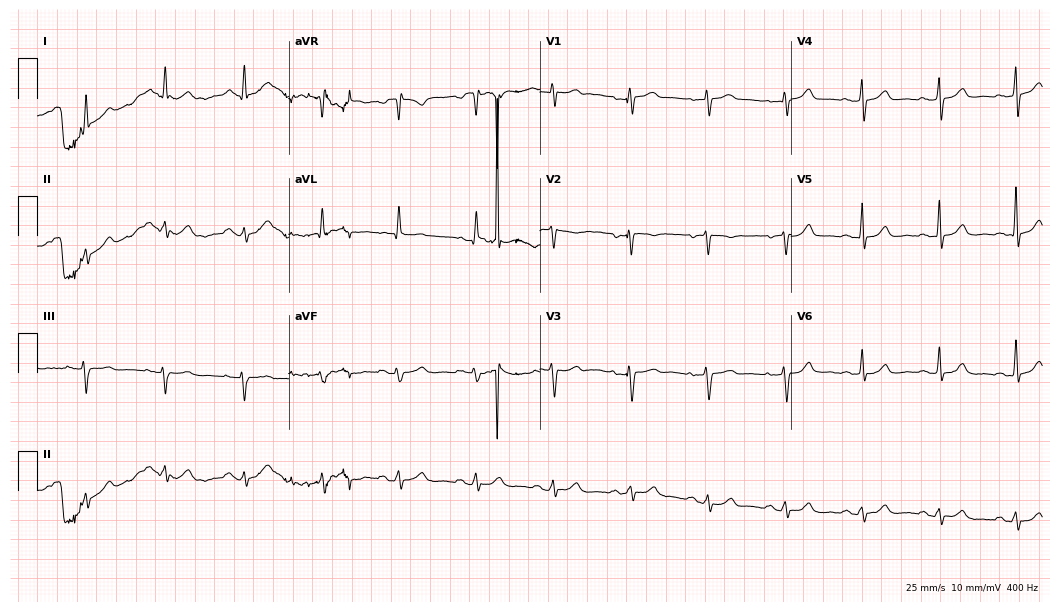
12-lead ECG (10.2-second recording at 400 Hz) from a man, 73 years old. Screened for six findings — first-degree AV block, right bundle branch block, left bundle branch block, sinus bradycardia, atrial fibrillation, sinus tachycardia — none is recorded.